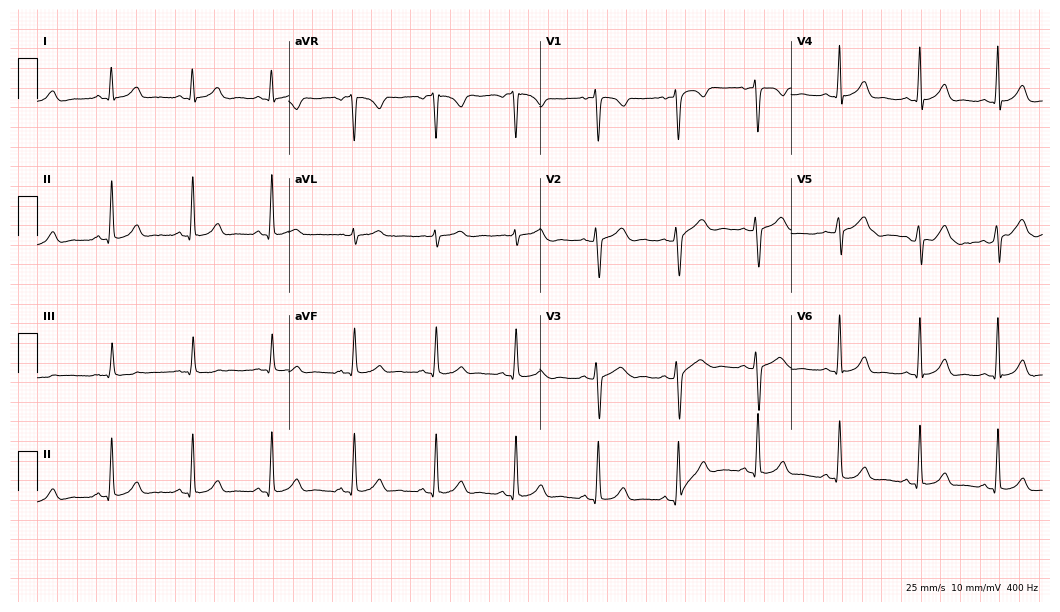
12-lead ECG (10.2-second recording at 400 Hz) from a female patient, 17 years old. Screened for six findings — first-degree AV block, right bundle branch block, left bundle branch block, sinus bradycardia, atrial fibrillation, sinus tachycardia — none is recorded. Only these six findings were labelled.